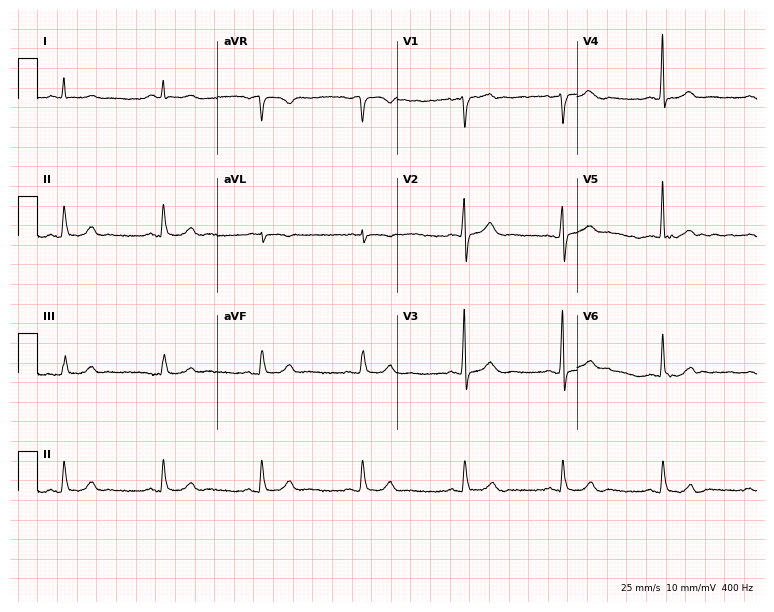
ECG — a male patient, 57 years old. Labelled as a normal ECG.